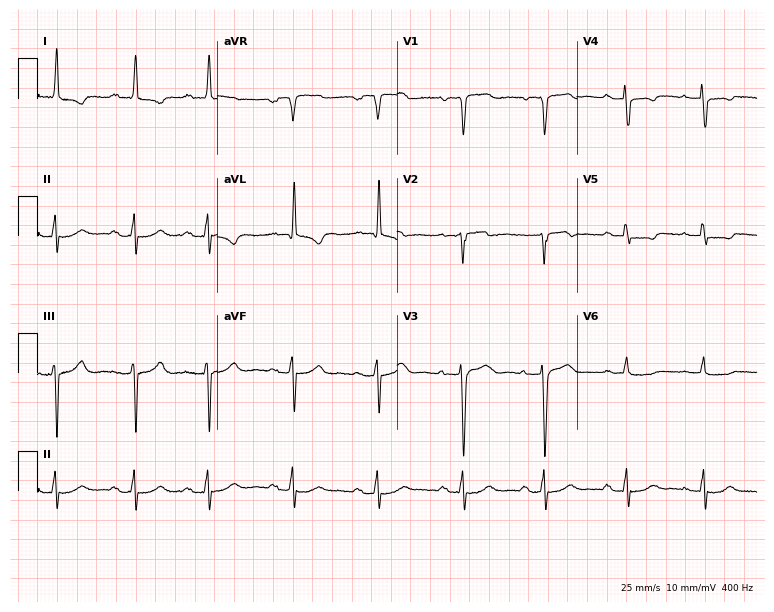
Resting 12-lead electrocardiogram. Patient: a female, 69 years old. The tracing shows first-degree AV block.